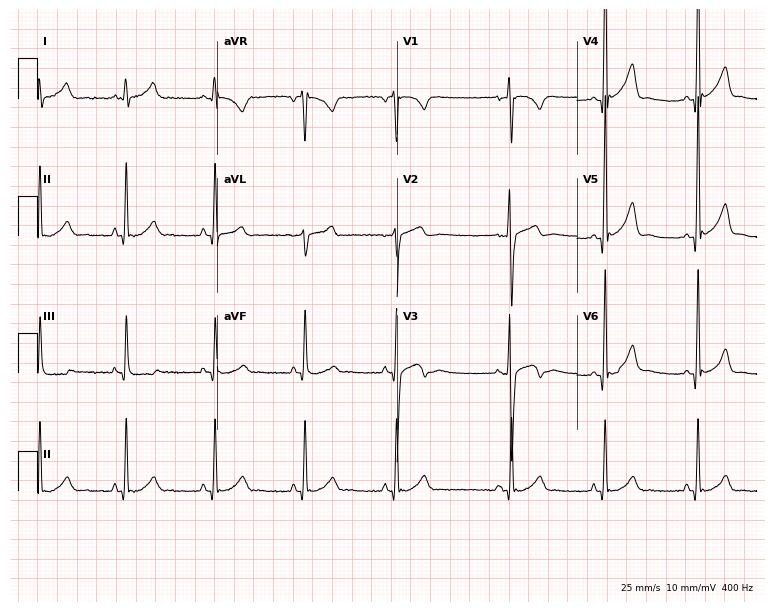
Electrocardiogram (7.3-second recording at 400 Hz), a 22-year-old man. Overall reading on record: normal ECG.